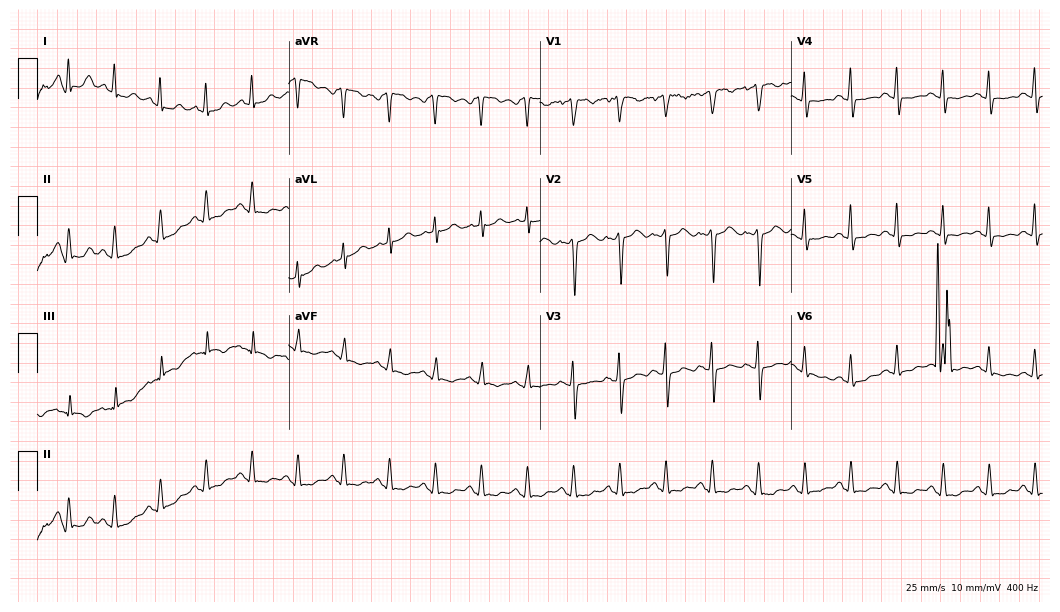
12-lead ECG from a 30-year-old woman. Findings include sinus tachycardia (a sinus rate of 100 beats per minute or more).